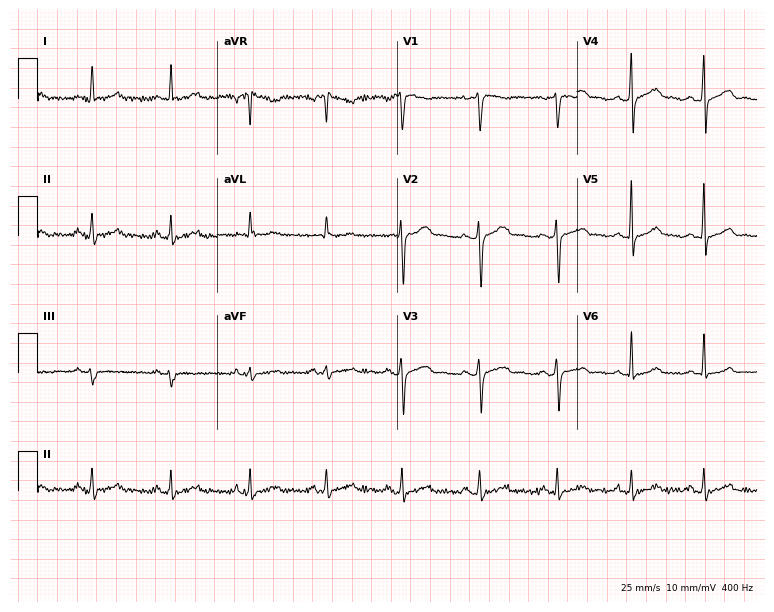
Resting 12-lead electrocardiogram (7.3-second recording at 400 Hz). Patient: a male, 42 years old. Read as a normal ECG.